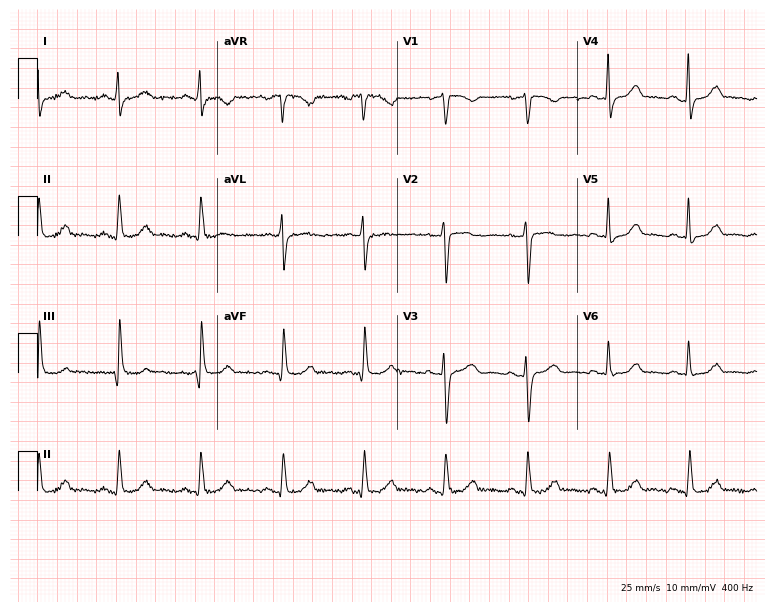
Resting 12-lead electrocardiogram. Patient: a female, 46 years old. None of these six findings is recorded: first-degree AV block, right bundle branch block, left bundle branch block, sinus bradycardia, atrial fibrillation, sinus tachycardia. Findings outside these six are not listed.